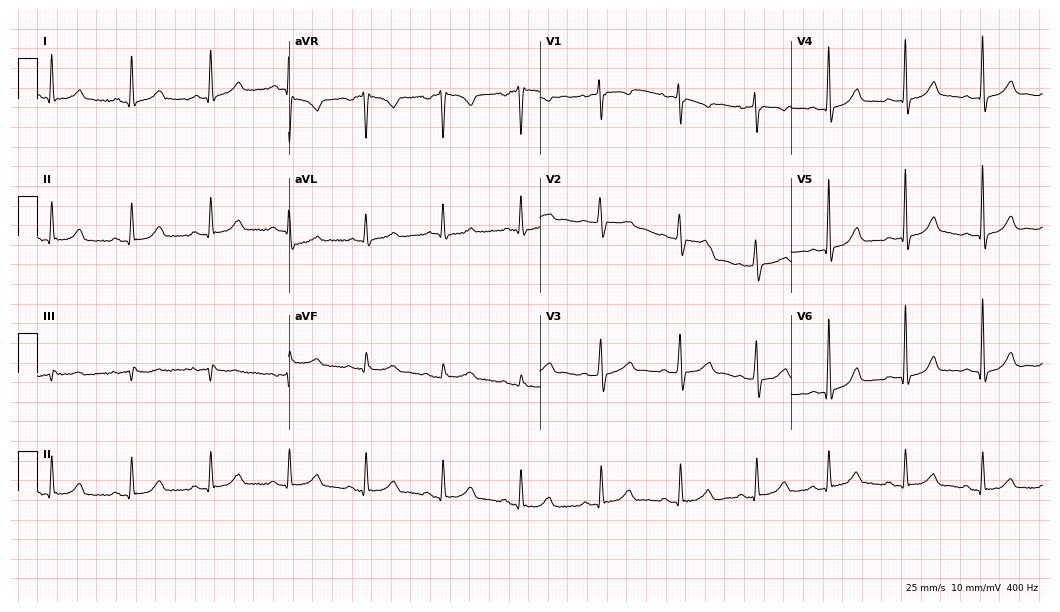
Electrocardiogram (10.2-second recording at 400 Hz), a 37-year-old woman. Overall reading on record: normal ECG.